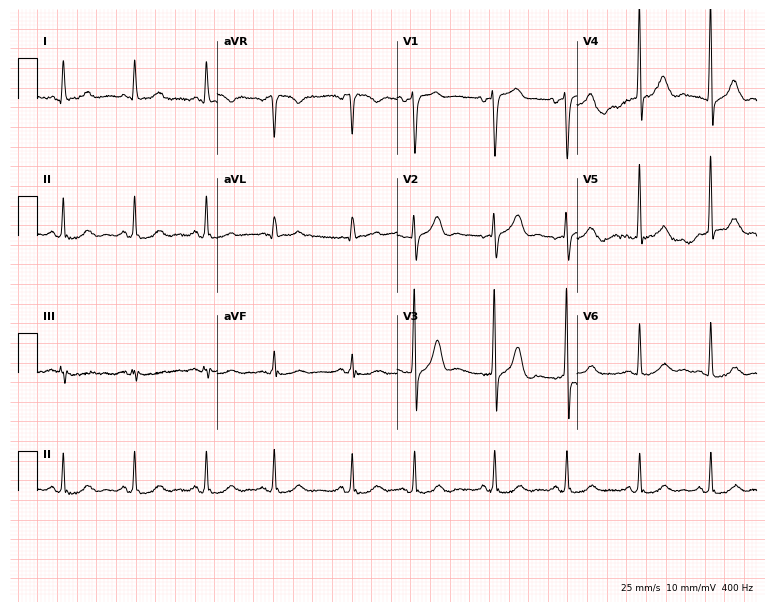
Standard 12-lead ECG recorded from an 82-year-old man. Read as a normal ECG.